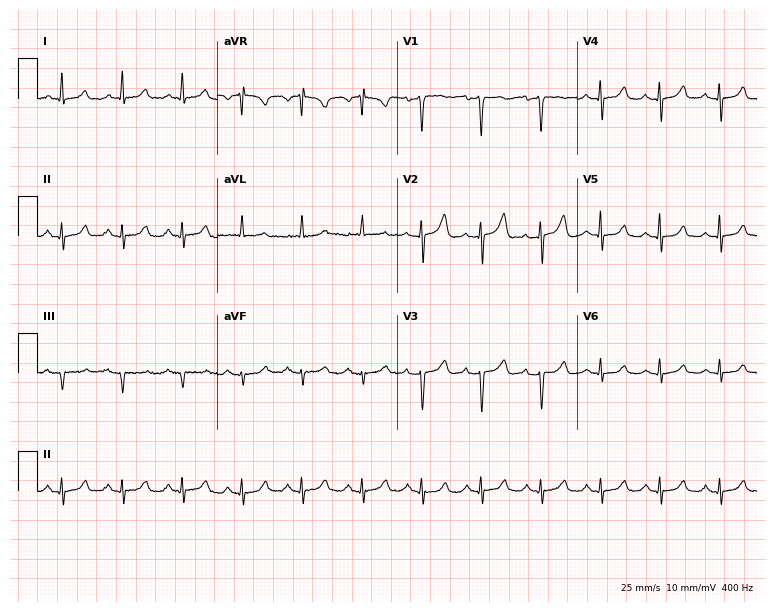
Resting 12-lead electrocardiogram. Patient: a 63-year-old female. Read as a normal ECG.